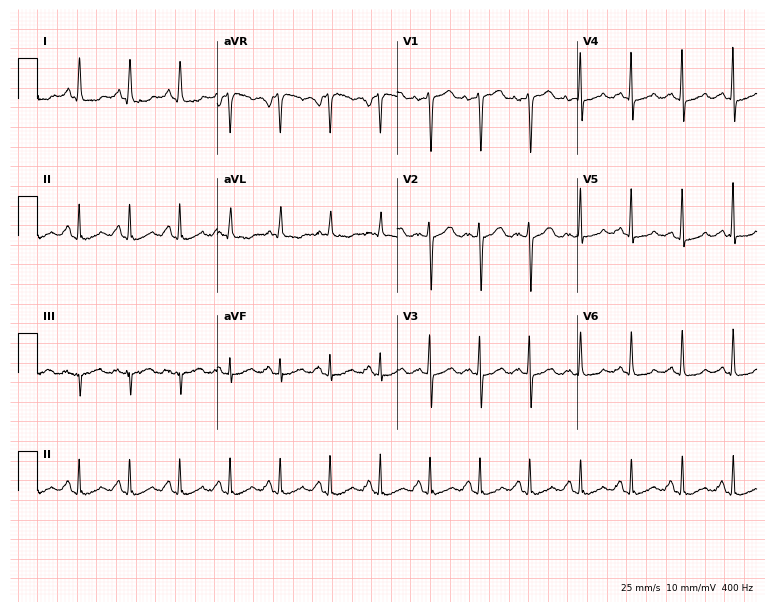
Standard 12-lead ECG recorded from a female patient, 52 years old (7.3-second recording at 400 Hz). The tracing shows sinus tachycardia (a sinus rate of 100 beats per minute or more).